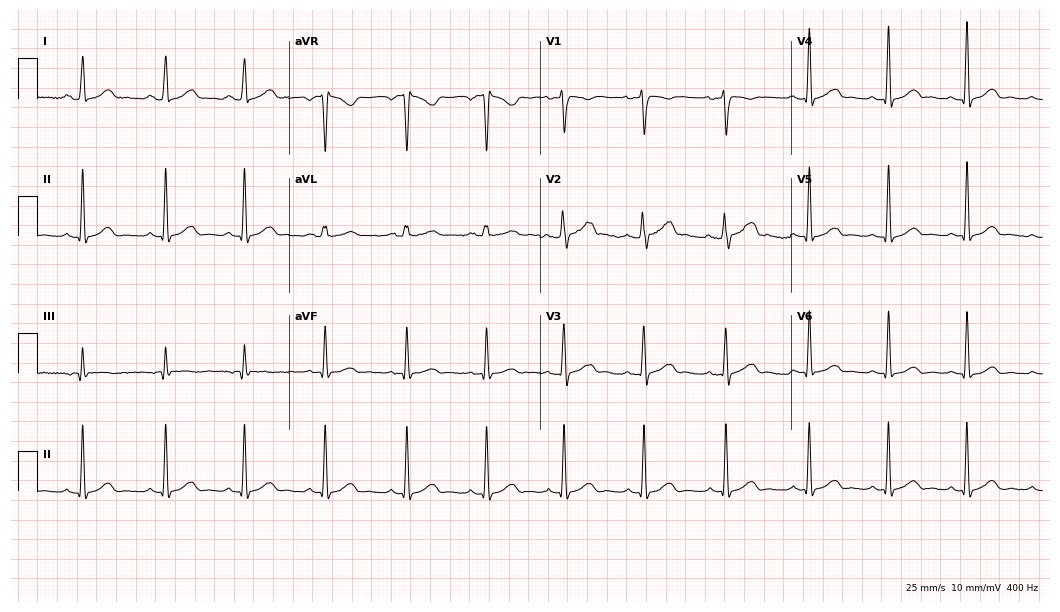
Standard 12-lead ECG recorded from a female patient, 32 years old (10.2-second recording at 400 Hz). Read as a normal ECG.